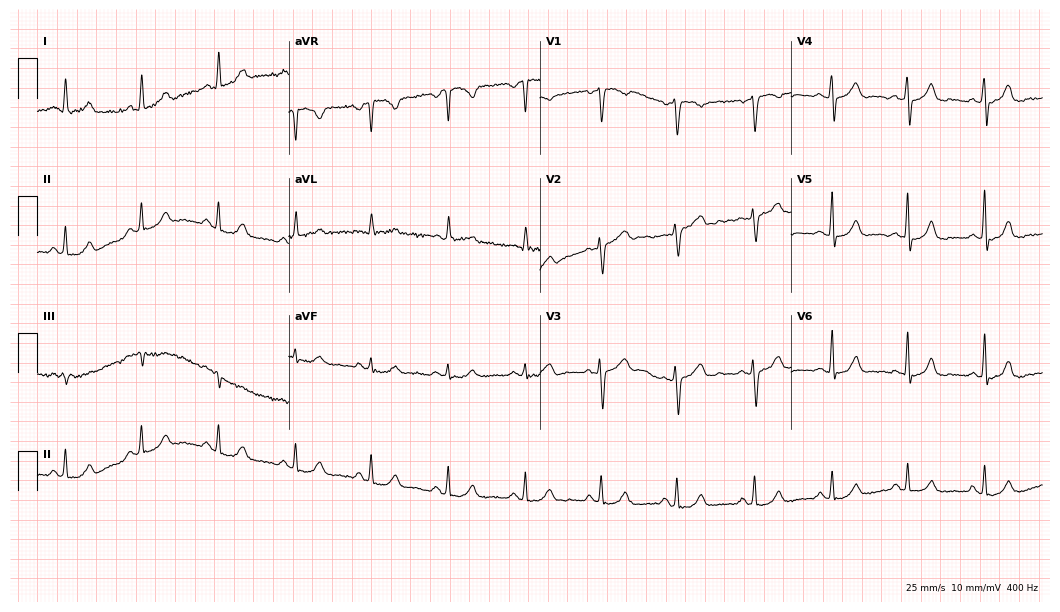
ECG — a 49-year-old female. Labelled as a normal ECG.